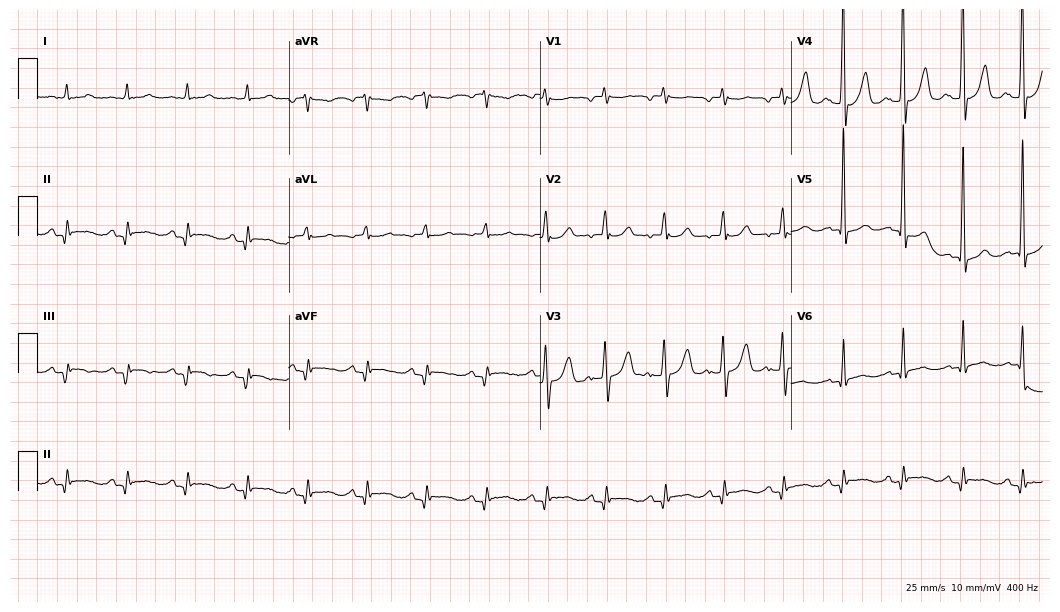
Electrocardiogram, a 53-year-old male. Of the six screened findings (first-degree AV block, right bundle branch block (RBBB), left bundle branch block (LBBB), sinus bradycardia, atrial fibrillation (AF), sinus tachycardia), none is recorded.